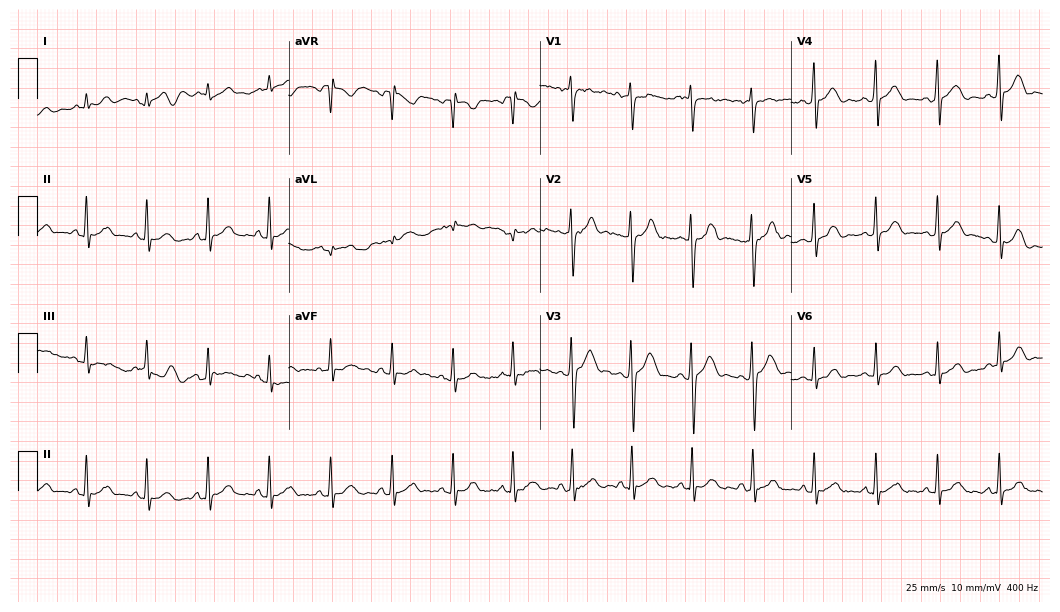
12-lead ECG from a male, 25 years old. Recorded interpretation: within normal limits.